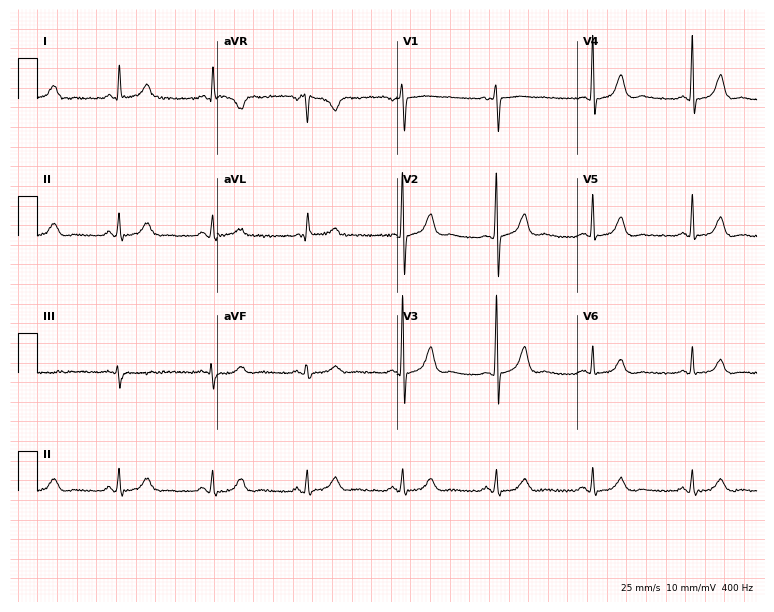
12-lead ECG from a male patient, 71 years old (7.3-second recording at 400 Hz). Recorded interpretation: within normal limits.